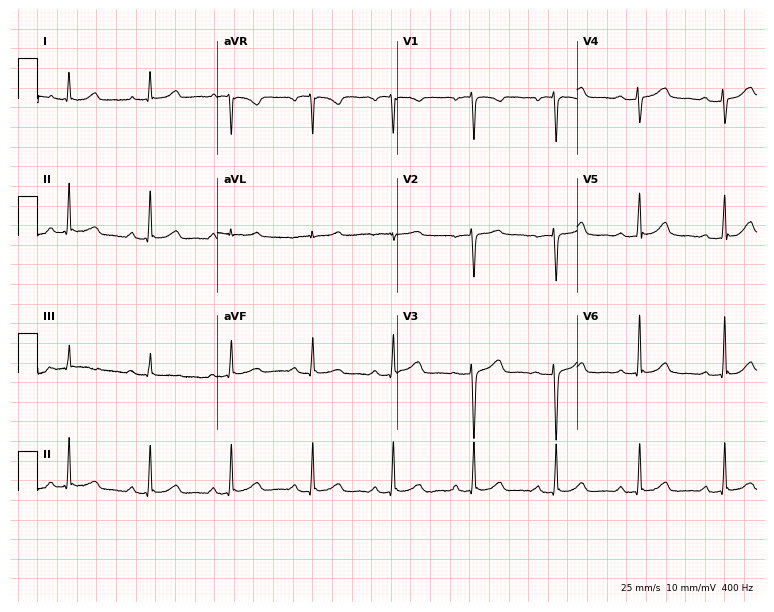
Standard 12-lead ECG recorded from a female, 51 years old. Read as a normal ECG.